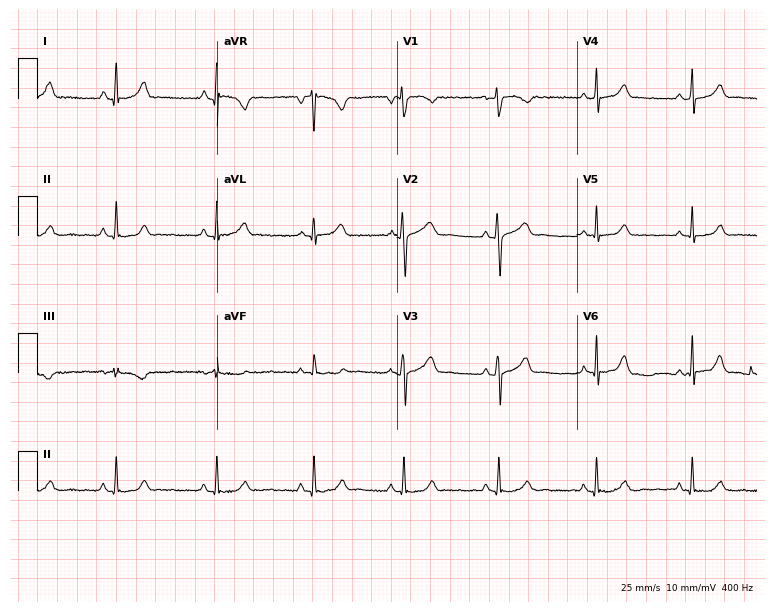
Resting 12-lead electrocardiogram (7.3-second recording at 400 Hz). Patient: a female, 17 years old. None of these six findings is recorded: first-degree AV block, right bundle branch block (RBBB), left bundle branch block (LBBB), sinus bradycardia, atrial fibrillation (AF), sinus tachycardia.